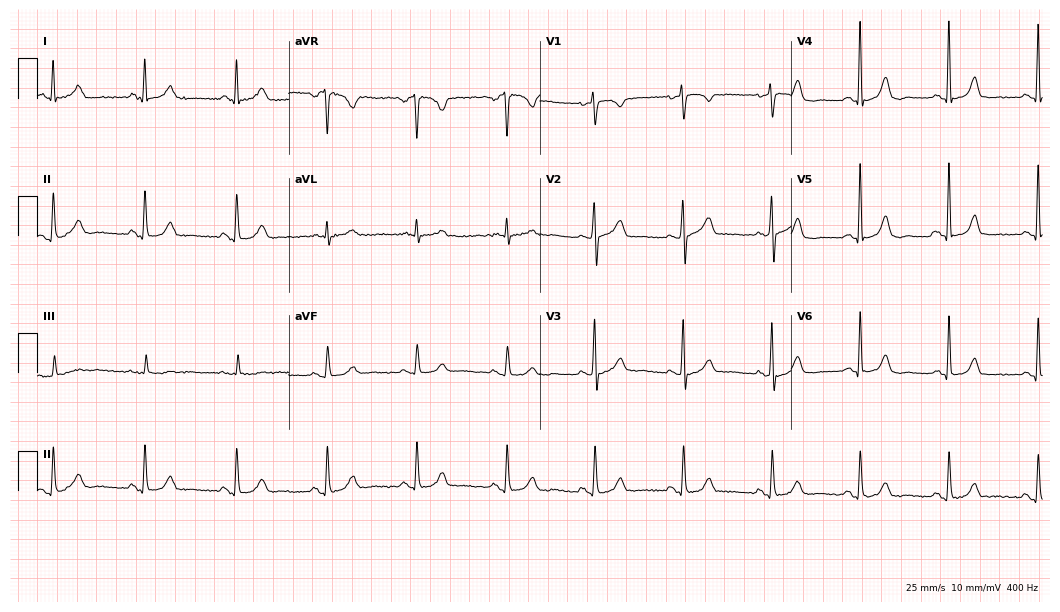
Resting 12-lead electrocardiogram. Patient: a female, 65 years old. Read as a normal ECG.